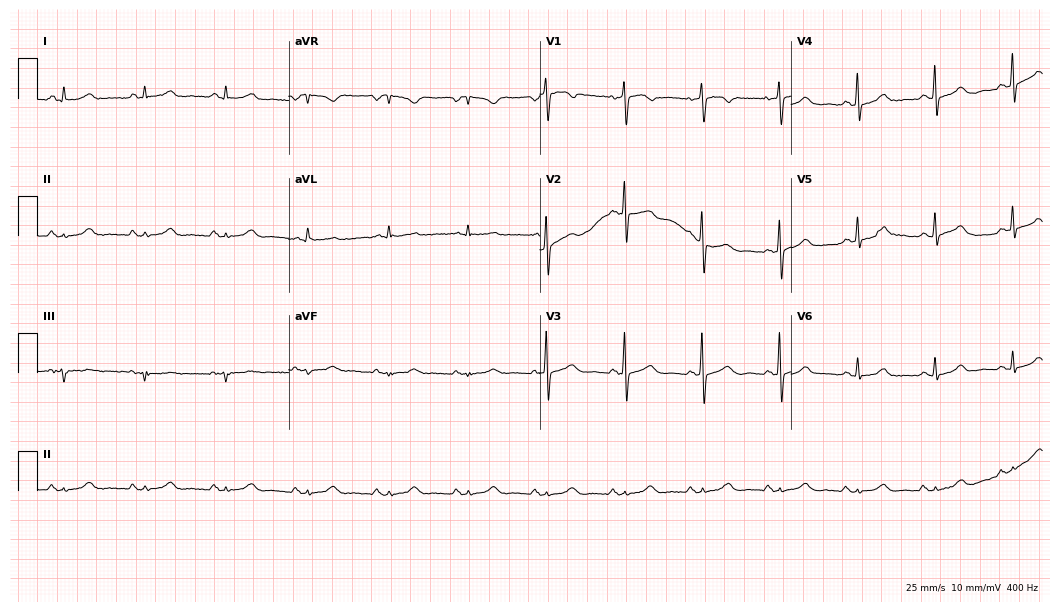
Resting 12-lead electrocardiogram (10.2-second recording at 400 Hz). Patient: a 63-year-old woman. Read as a normal ECG.